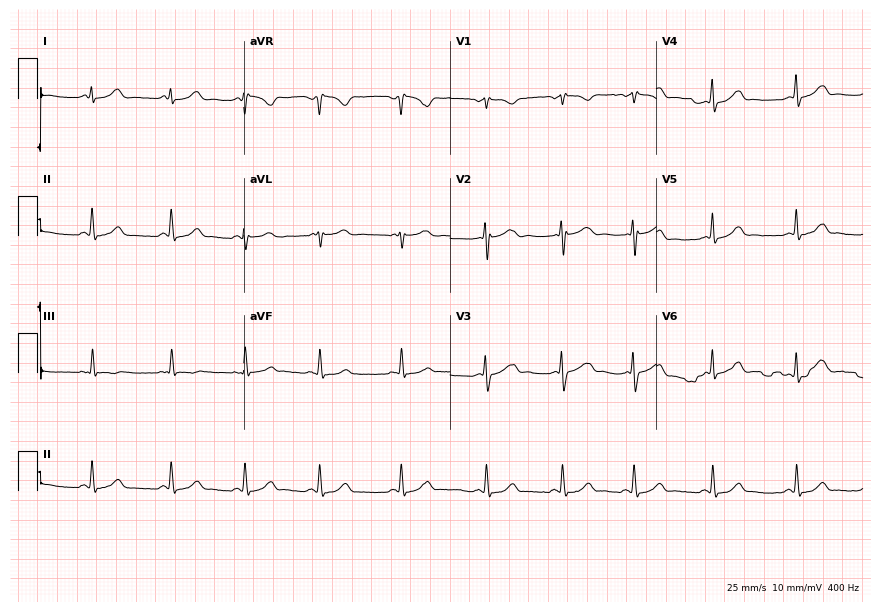
12-lead ECG from a 22-year-old female patient (8.4-second recording at 400 Hz). No first-degree AV block, right bundle branch block (RBBB), left bundle branch block (LBBB), sinus bradycardia, atrial fibrillation (AF) or sinus tachycardia recorded for this tracing. Other findings, if any, are not listed.